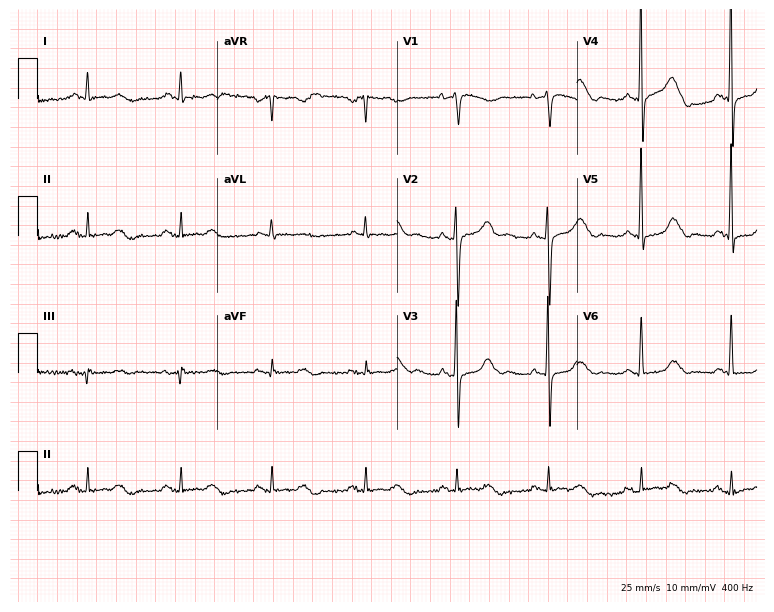
Electrocardiogram, an 81-year-old woman. Overall reading on record: normal ECG.